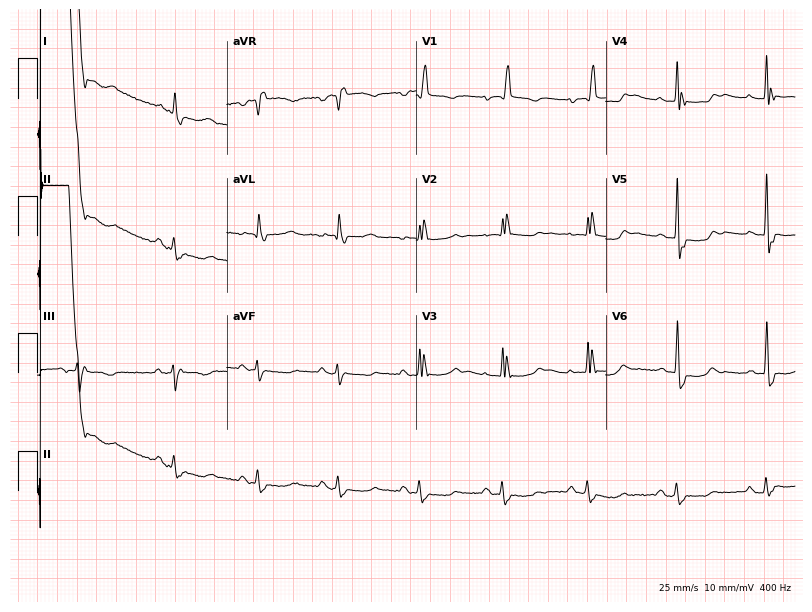
Standard 12-lead ECG recorded from an 81-year-old male. The tracing shows right bundle branch block.